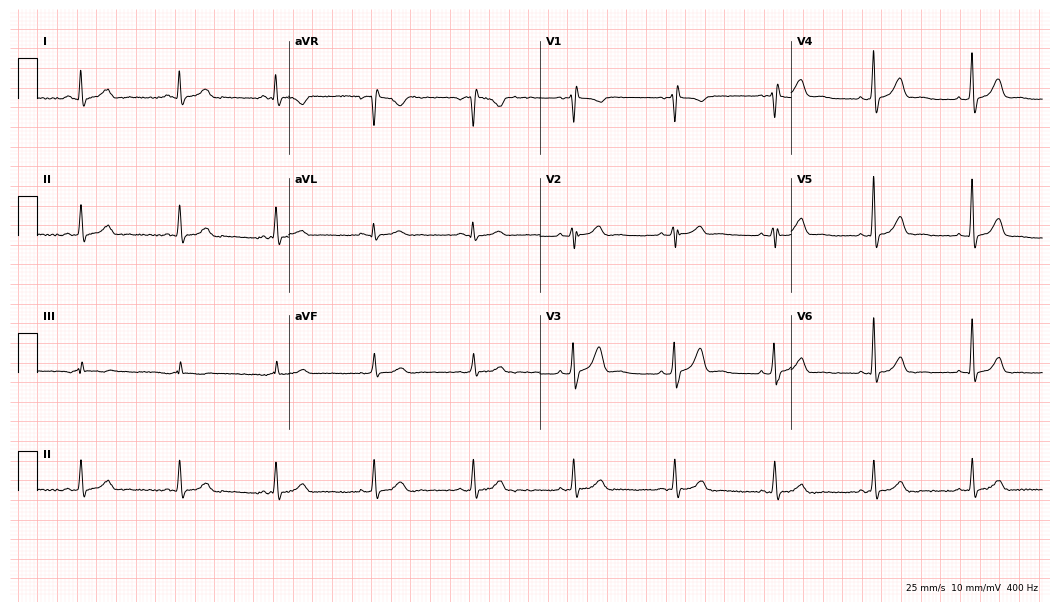
12-lead ECG from a man, 46 years old (10.2-second recording at 400 Hz). No first-degree AV block, right bundle branch block (RBBB), left bundle branch block (LBBB), sinus bradycardia, atrial fibrillation (AF) or sinus tachycardia recorded for this tracing. Findings outside these six are not listed.